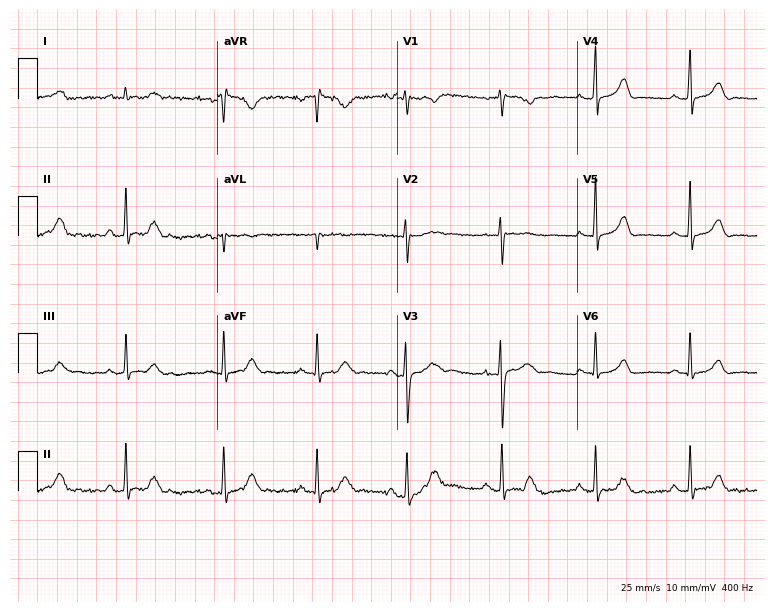
12-lead ECG from a female patient, 28 years old. Labelled as a normal ECG.